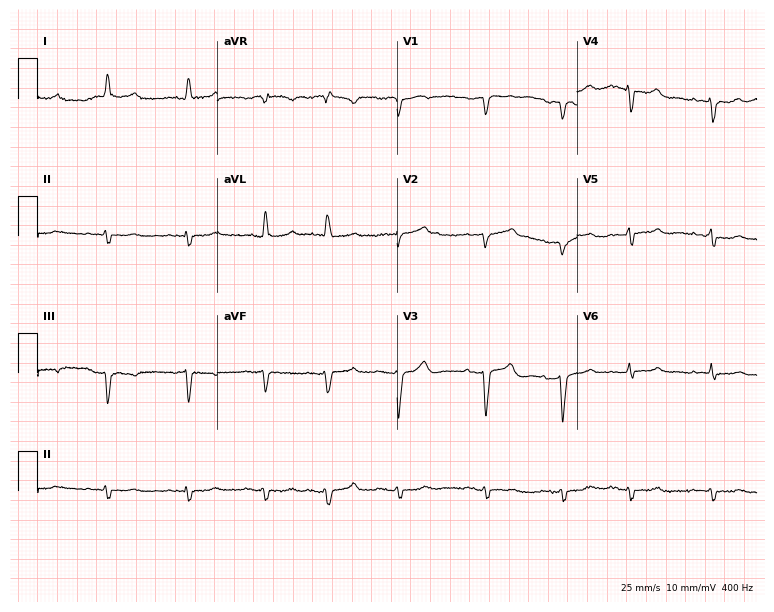
Resting 12-lead electrocardiogram. Patient: a woman, 73 years old. None of these six findings is recorded: first-degree AV block, right bundle branch block, left bundle branch block, sinus bradycardia, atrial fibrillation, sinus tachycardia.